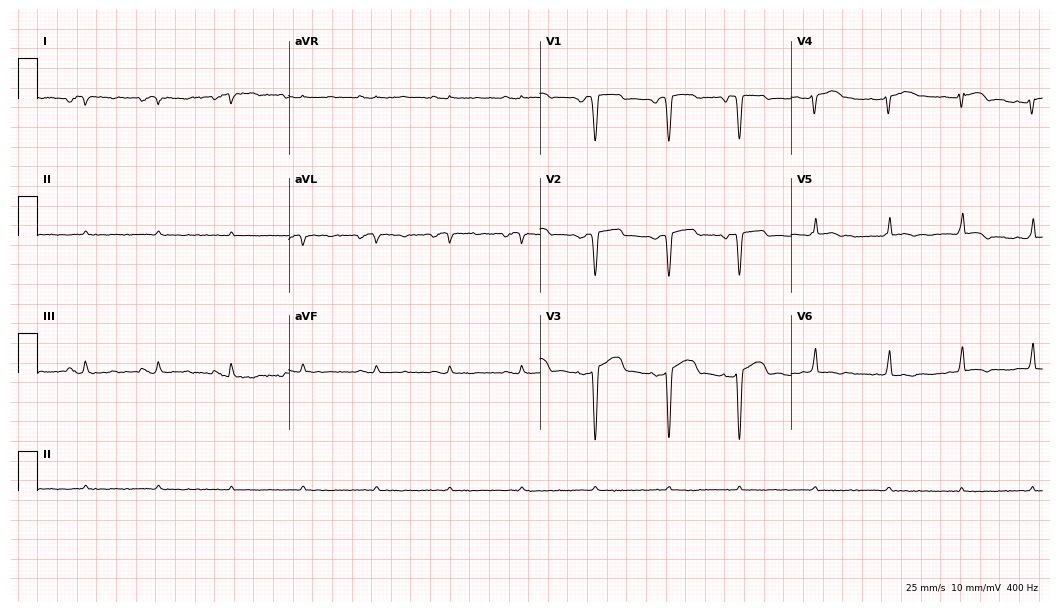
12-lead ECG from a 75-year-old male patient. Screened for six findings — first-degree AV block, right bundle branch block, left bundle branch block, sinus bradycardia, atrial fibrillation, sinus tachycardia — none is recorded. Findings outside these six are not listed.